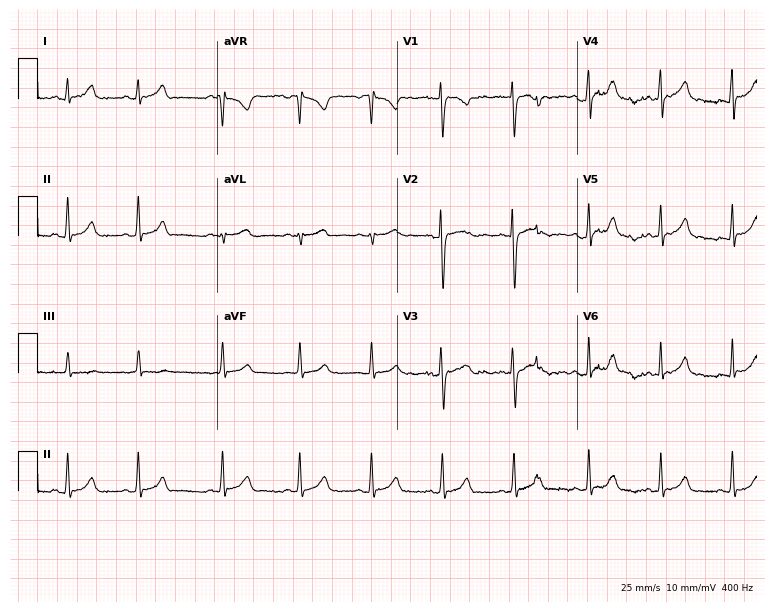
Resting 12-lead electrocardiogram. Patient: a 19-year-old female. Read as a normal ECG.